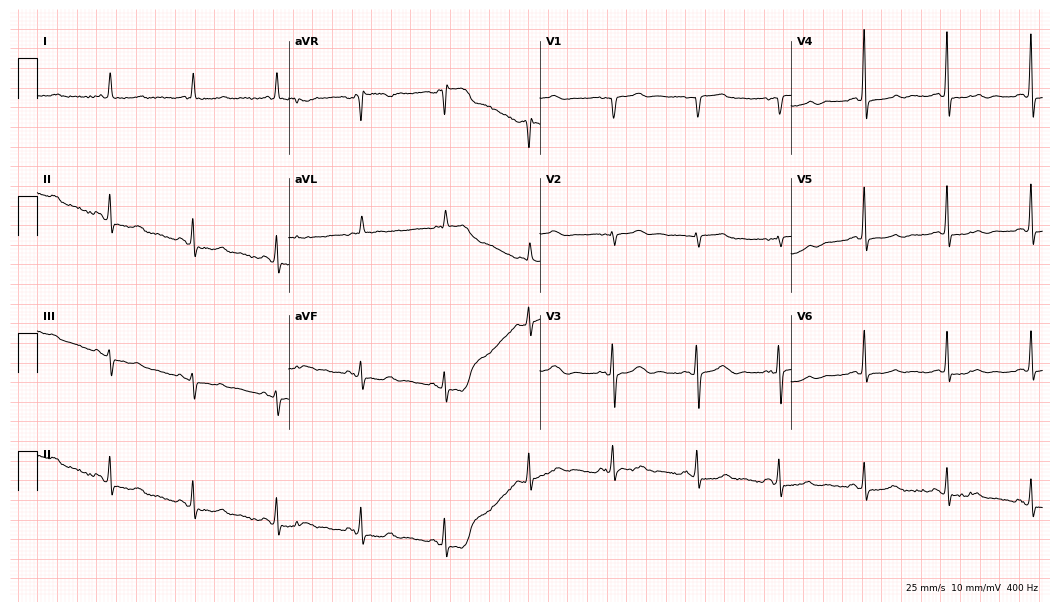
Resting 12-lead electrocardiogram. Patient: an 80-year-old woman. None of these six findings is recorded: first-degree AV block, right bundle branch block, left bundle branch block, sinus bradycardia, atrial fibrillation, sinus tachycardia.